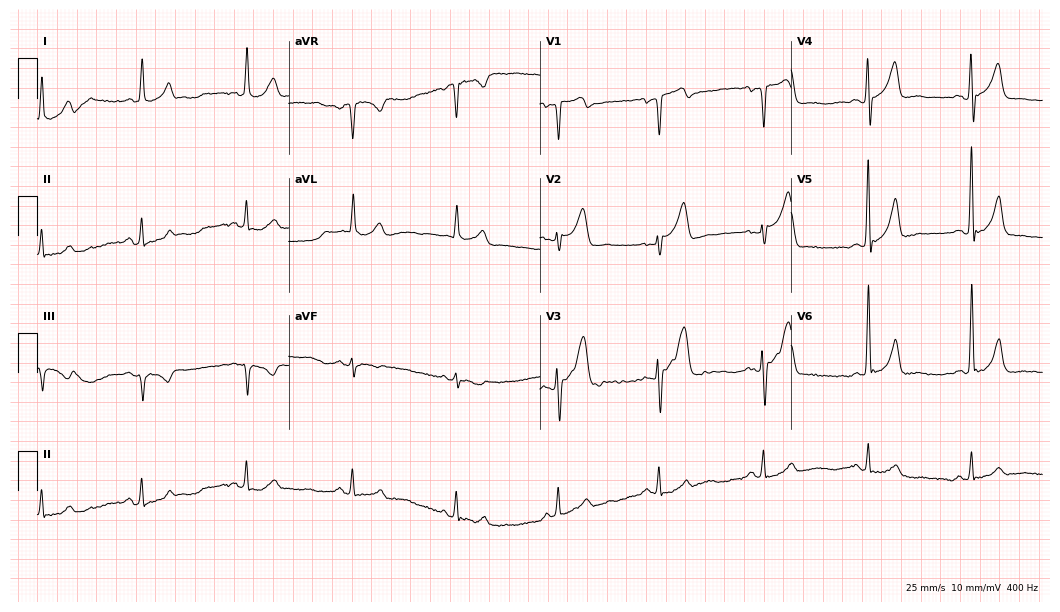
Electrocardiogram (10.2-second recording at 400 Hz), a male patient, 50 years old. Overall reading on record: normal ECG.